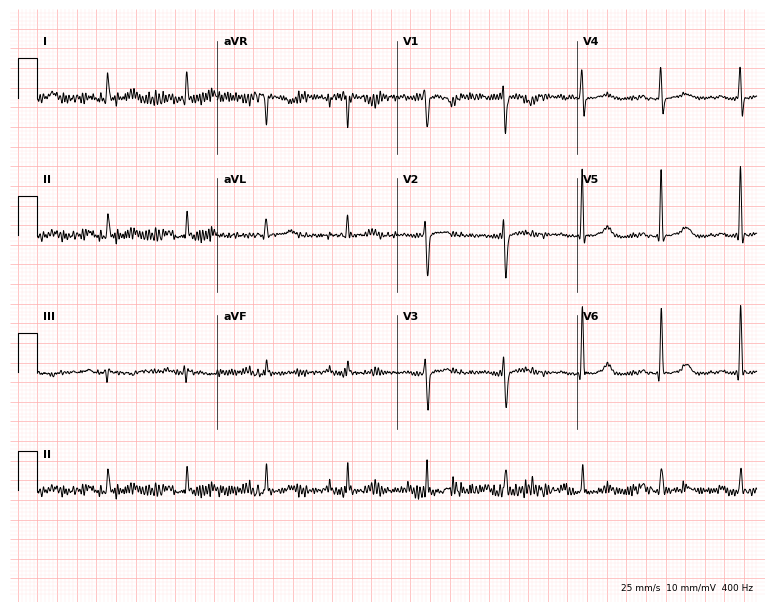
Resting 12-lead electrocardiogram. Patient: a 46-year-old female. None of these six findings is recorded: first-degree AV block, right bundle branch block, left bundle branch block, sinus bradycardia, atrial fibrillation, sinus tachycardia.